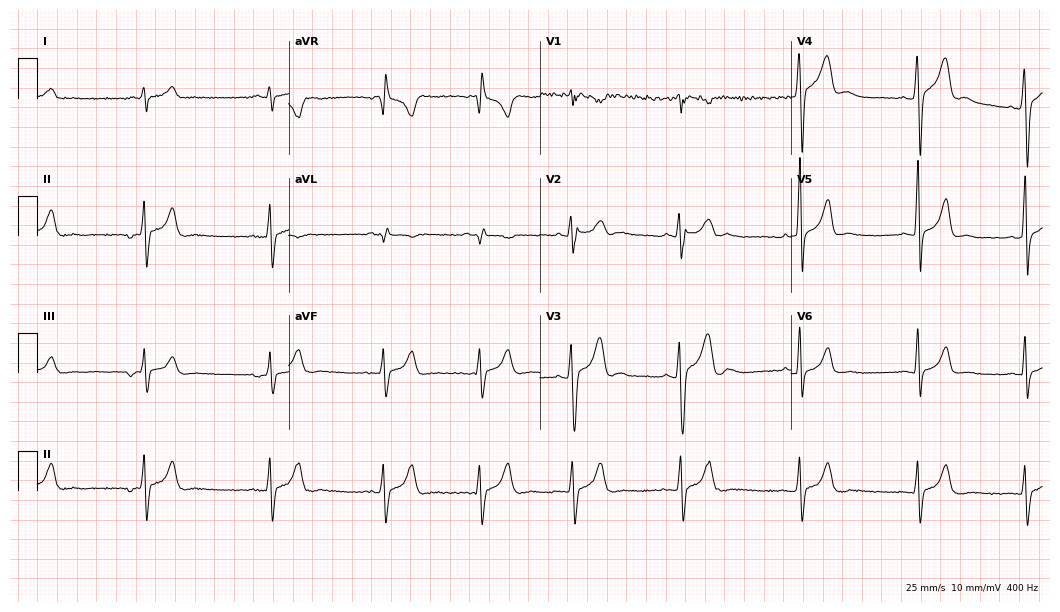
Standard 12-lead ECG recorded from a male patient, 19 years old. None of these six findings is recorded: first-degree AV block, right bundle branch block, left bundle branch block, sinus bradycardia, atrial fibrillation, sinus tachycardia.